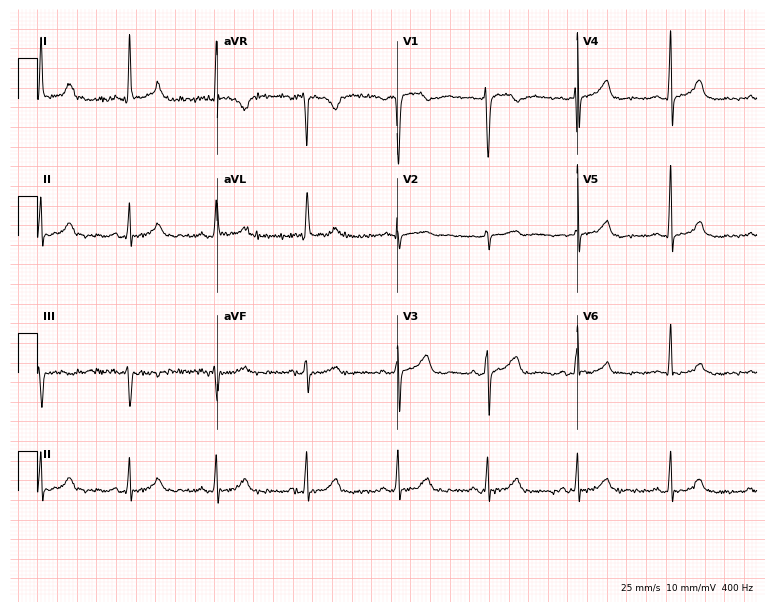
Electrocardiogram, a female patient, 62 years old. Overall reading on record: normal ECG.